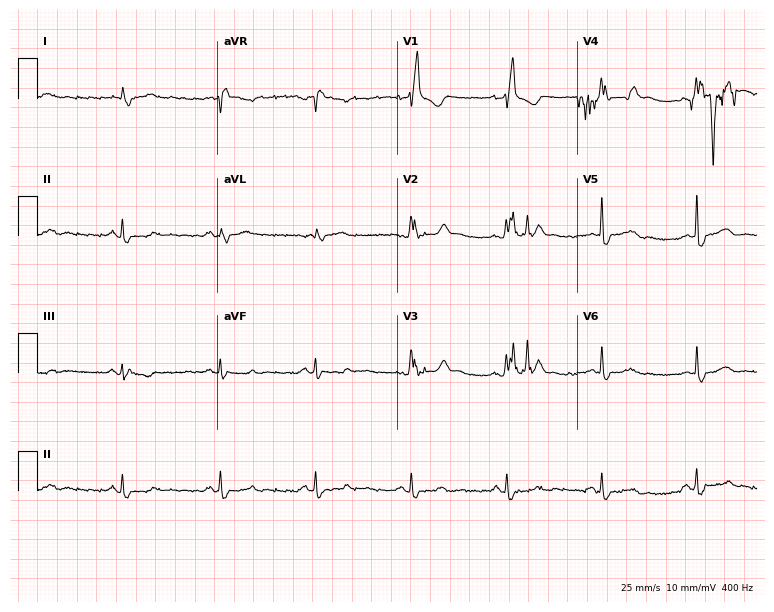
12-lead ECG (7.3-second recording at 400 Hz) from a 74-year-old male. Findings include right bundle branch block.